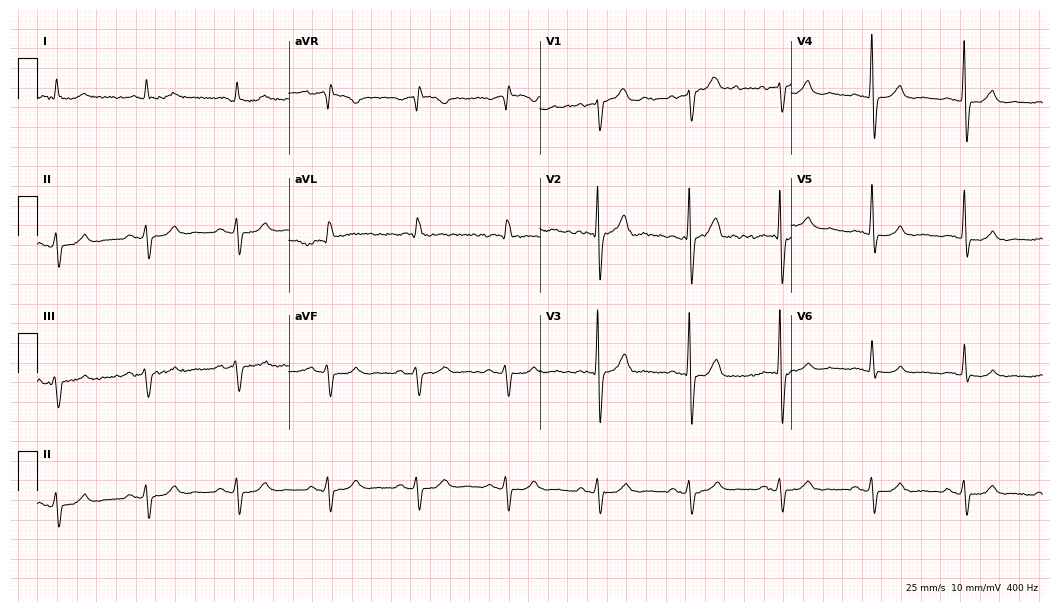
12-lead ECG from a 75-year-old male patient (10.2-second recording at 400 Hz). No first-degree AV block, right bundle branch block, left bundle branch block, sinus bradycardia, atrial fibrillation or sinus tachycardia recorded for this tracing. Only these six findings were labelled.